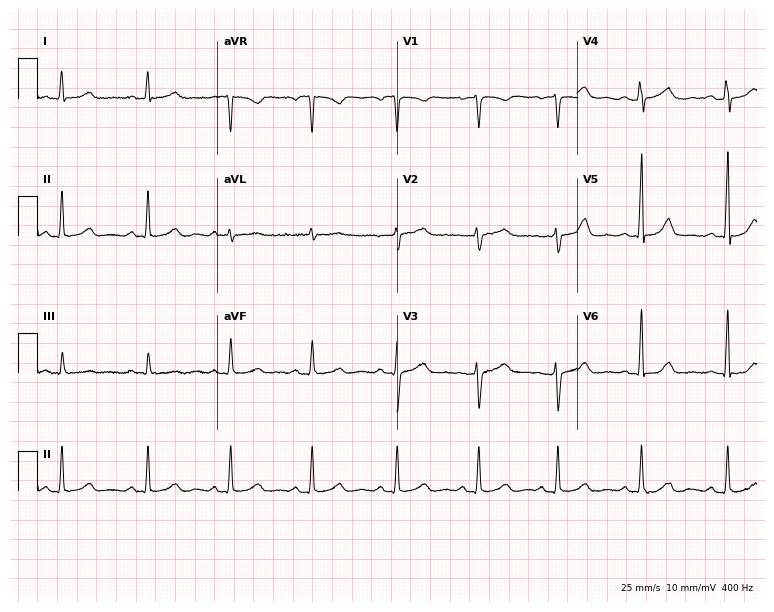
Standard 12-lead ECG recorded from a 37-year-old female (7.3-second recording at 400 Hz). Read as a normal ECG.